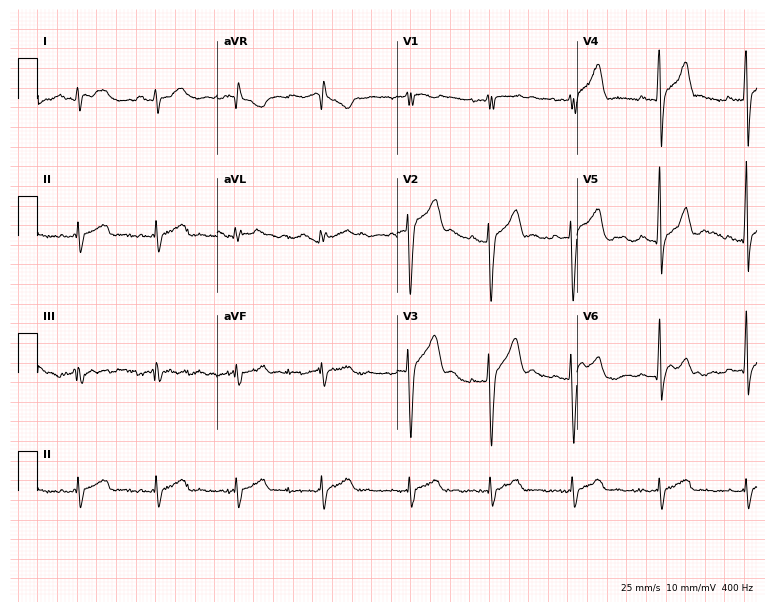
ECG (7.3-second recording at 400 Hz) — a 19-year-old male patient. Labelled as a normal ECG.